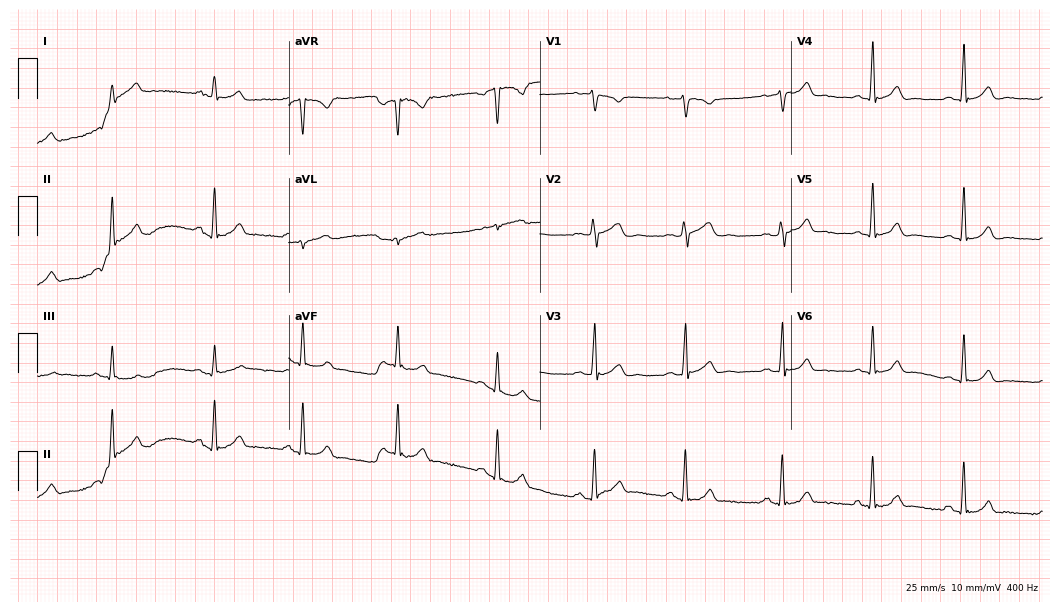
Standard 12-lead ECG recorded from a woman, 22 years old. Read as a normal ECG.